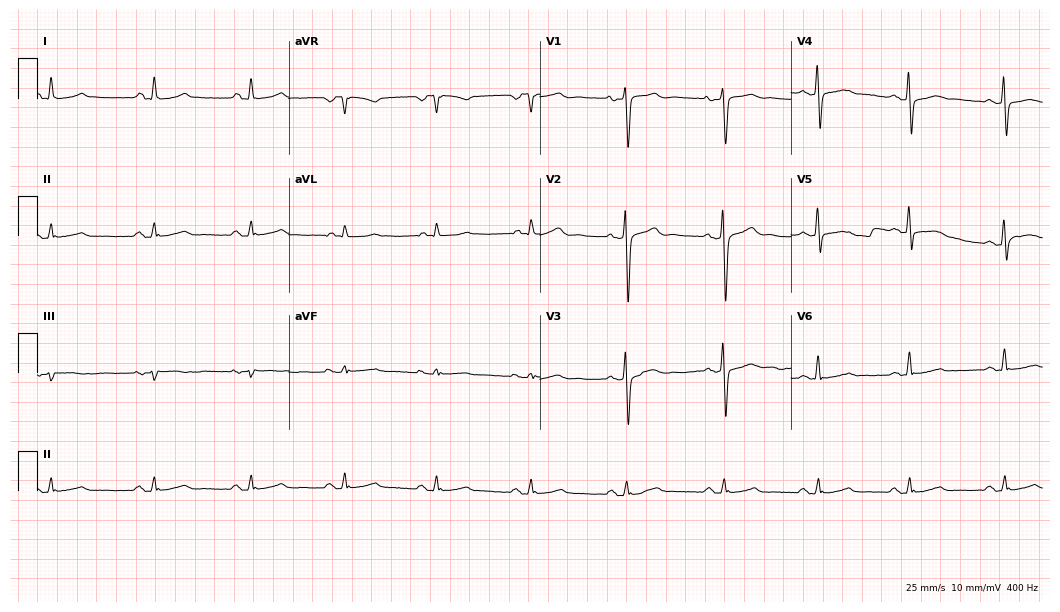
12-lead ECG from a man, 42 years old (10.2-second recording at 400 Hz). No first-degree AV block, right bundle branch block, left bundle branch block, sinus bradycardia, atrial fibrillation or sinus tachycardia recorded for this tracing.